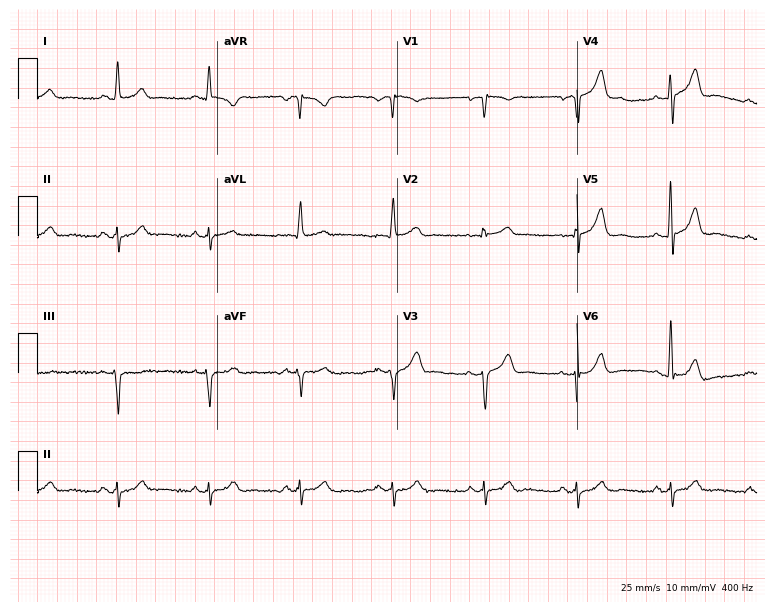
ECG — a male, 68 years old. Screened for six findings — first-degree AV block, right bundle branch block, left bundle branch block, sinus bradycardia, atrial fibrillation, sinus tachycardia — none is recorded. Only these six findings were labelled.